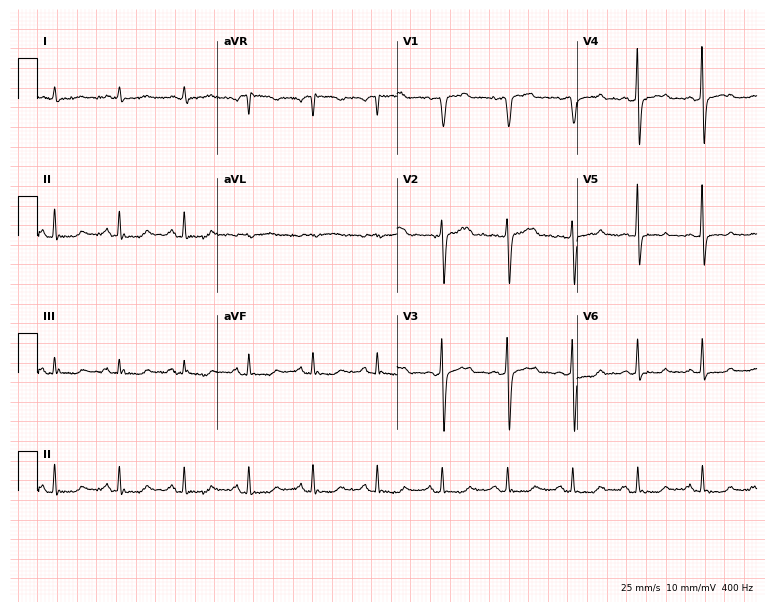
ECG — a 79-year-old male. Screened for six findings — first-degree AV block, right bundle branch block, left bundle branch block, sinus bradycardia, atrial fibrillation, sinus tachycardia — none is recorded.